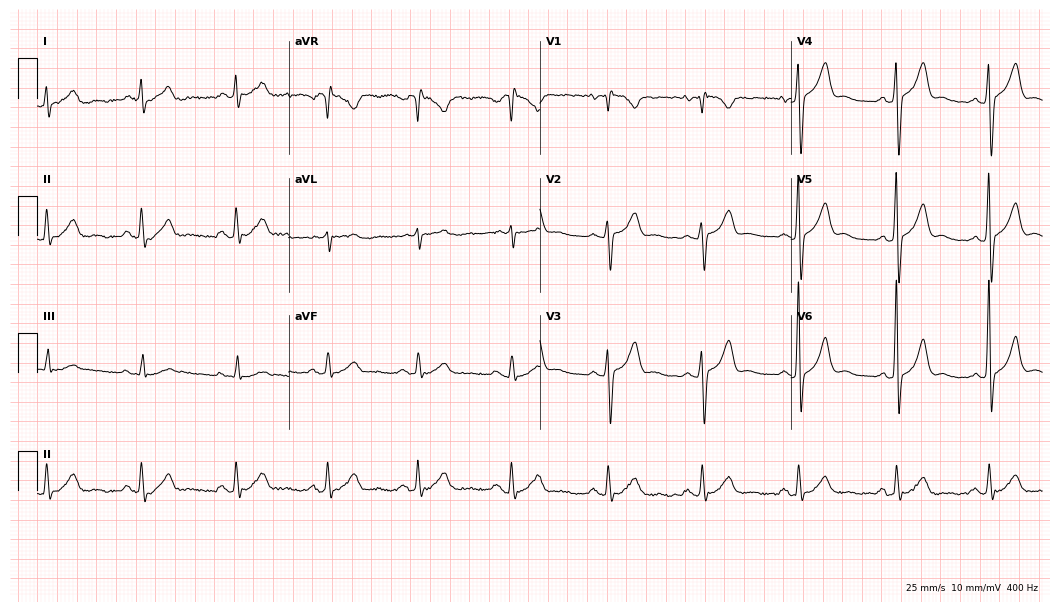
Resting 12-lead electrocardiogram (10.2-second recording at 400 Hz). Patient: a 42-year-old male. None of these six findings is recorded: first-degree AV block, right bundle branch block, left bundle branch block, sinus bradycardia, atrial fibrillation, sinus tachycardia. Findings outside these six are not listed.